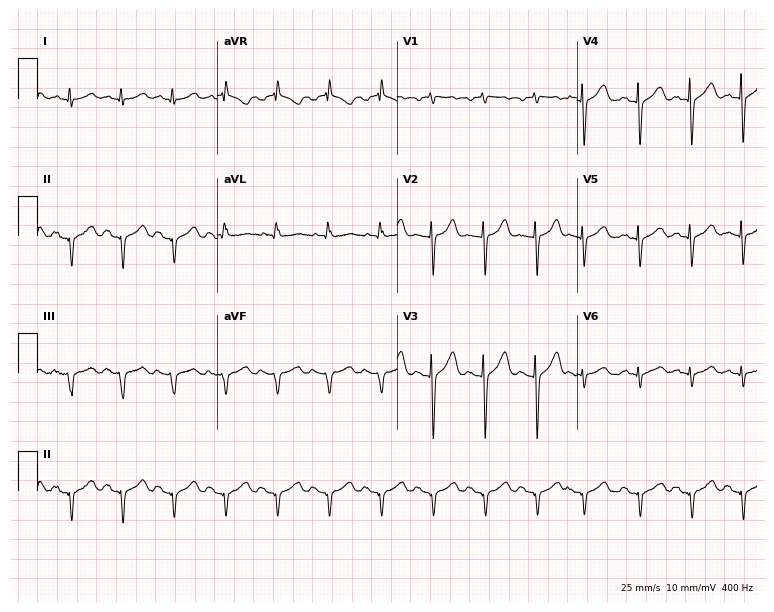
Electrocardiogram, a woman, 57 years old. Interpretation includes sinus tachycardia (a sinus rate of 100 beats per minute or more).